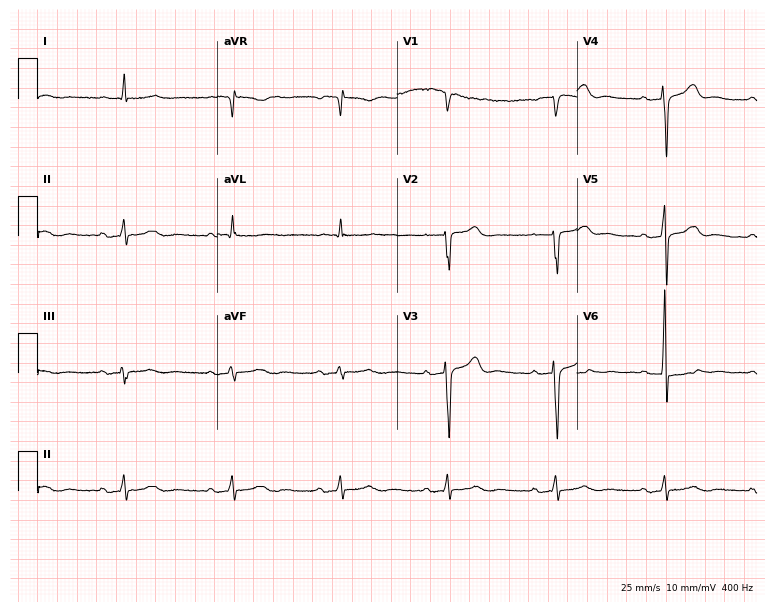
12-lead ECG from a man, 80 years old. No first-degree AV block, right bundle branch block (RBBB), left bundle branch block (LBBB), sinus bradycardia, atrial fibrillation (AF) or sinus tachycardia recorded for this tracing. Other findings, if any, are not listed.